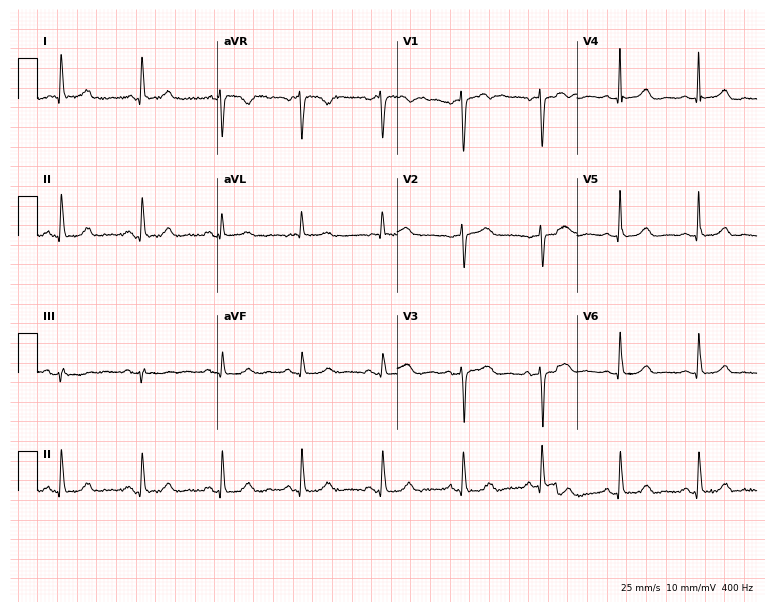
12-lead ECG from a woman, 67 years old (7.3-second recording at 400 Hz). Recorded interpretation: within normal limits.